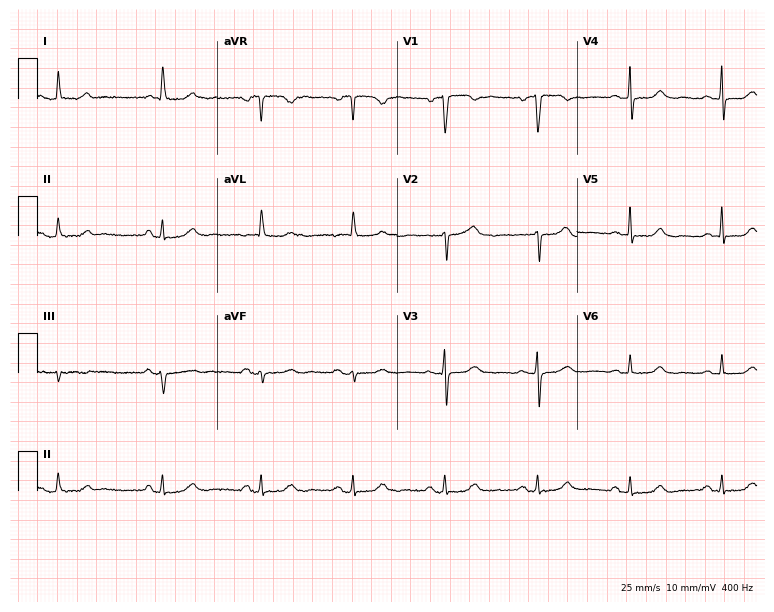
12-lead ECG from an 84-year-old woman (7.3-second recording at 400 Hz). No first-degree AV block, right bundle branch block, left bundle branch block, sinus bradycardia, atrial fibrillation or sinus tachycardia recorded for this tracing.